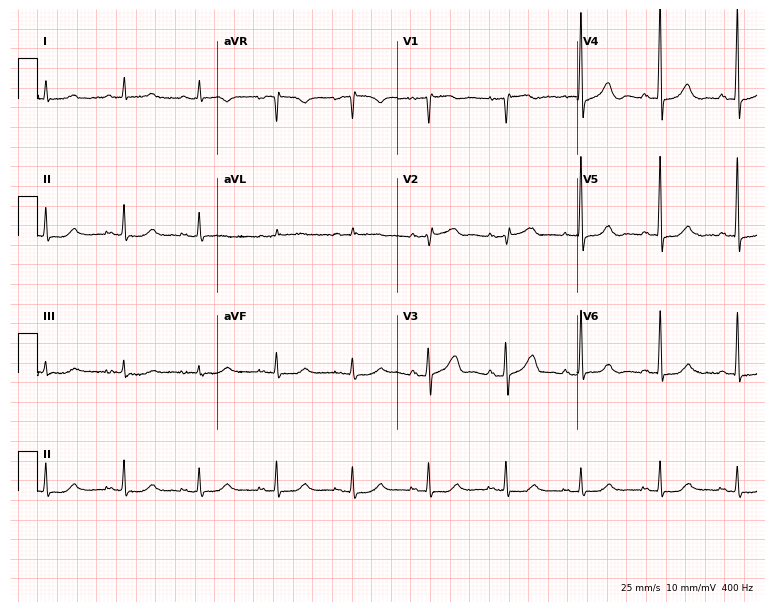
12-lead ECG from a 69-year-old female (7.3-second recording at 400 Hz). No first-degree AV block, right bundle branch block (RBBB), left bundle branch block (LBBB), sinus bradycardia, atrial fibrillation (AF) or sinus tachycardia recorded for this tracing. Findings outside these six are not listed.